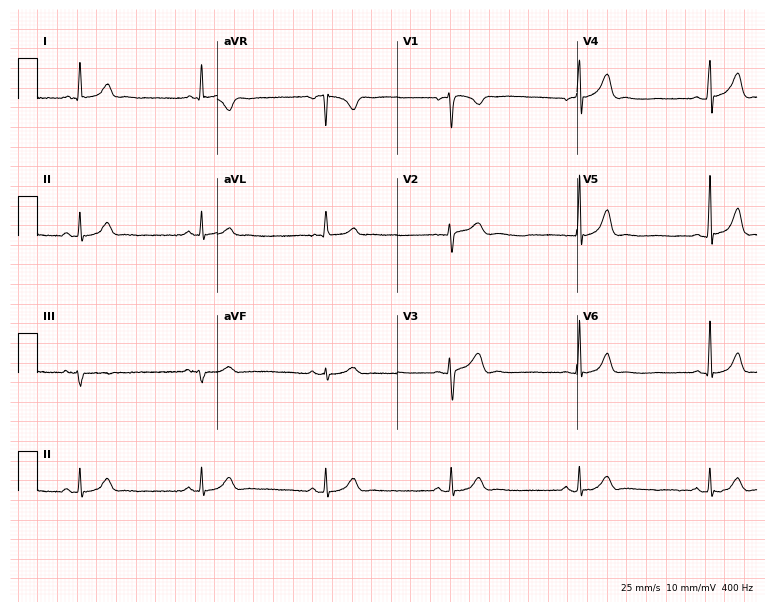
Standard 12-lead ECG recorded from a female patient, 37 years old. The tracing shows sinus bradycardia (a sinus rate of 50 beats per minute or less).